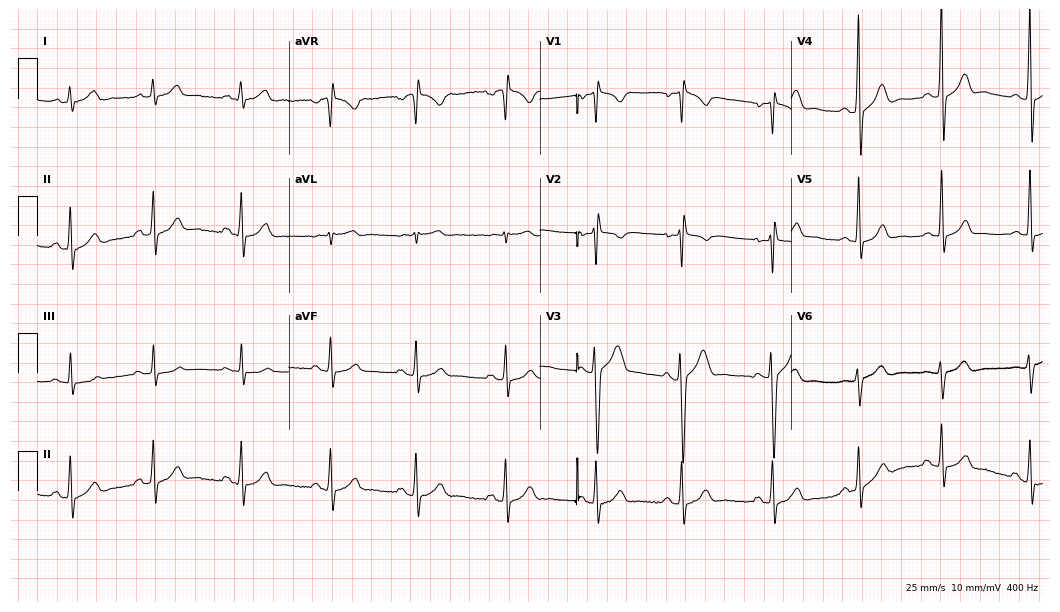
12-lead ECG from a man, 23 years old (10.2-second recording at 400 Hz). No first-degree AV block, right bundle branch block (RBBB), left bundle branch block (LBBB), sinus bradycardia, atrial fibrillation (AF) or sinus tachycardia recorded for this tracing.